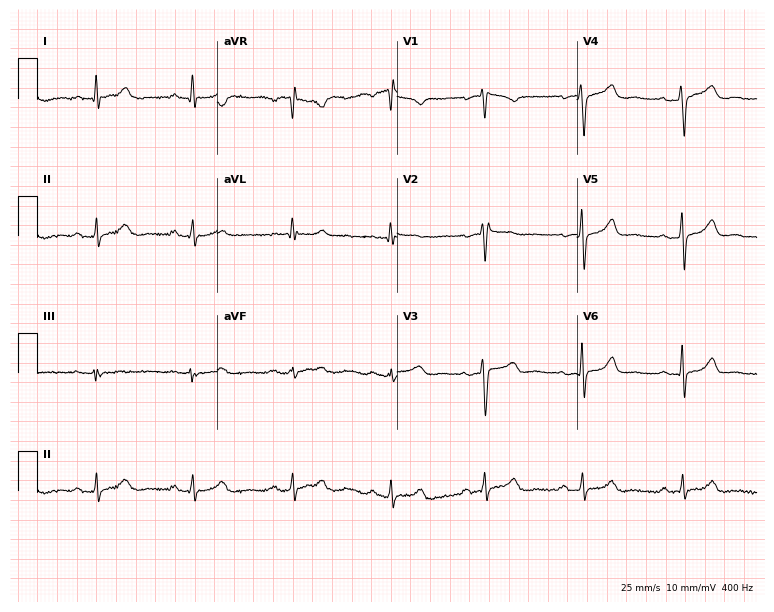
Standard 12-lead ECG recorded from a woman, 39 years old. None of these six findings is recorded: first-degree AV block, right bundle branch block (RBBB), left bundle branch block (LBBB), sinus bradycardia, atrial fibrillation (AF), sinus tachycardia.